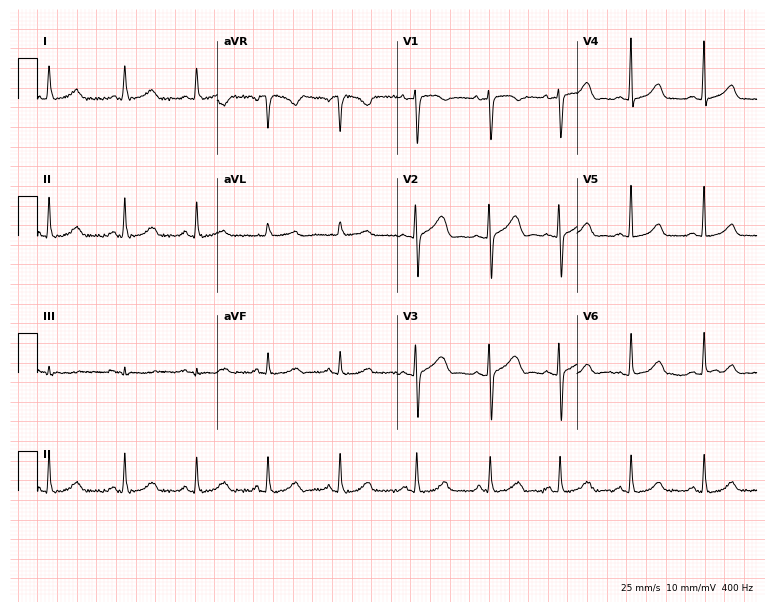
Electrocardiogram, a 28-year-old female patient. Overall reading on record: normal ECG.